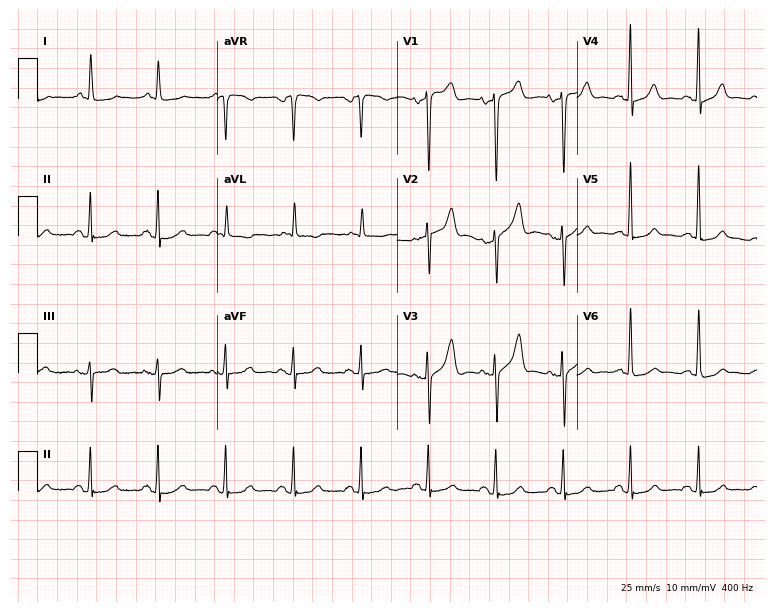
ECG — a 76-year-old female patient. Labelled as a normal ECG.